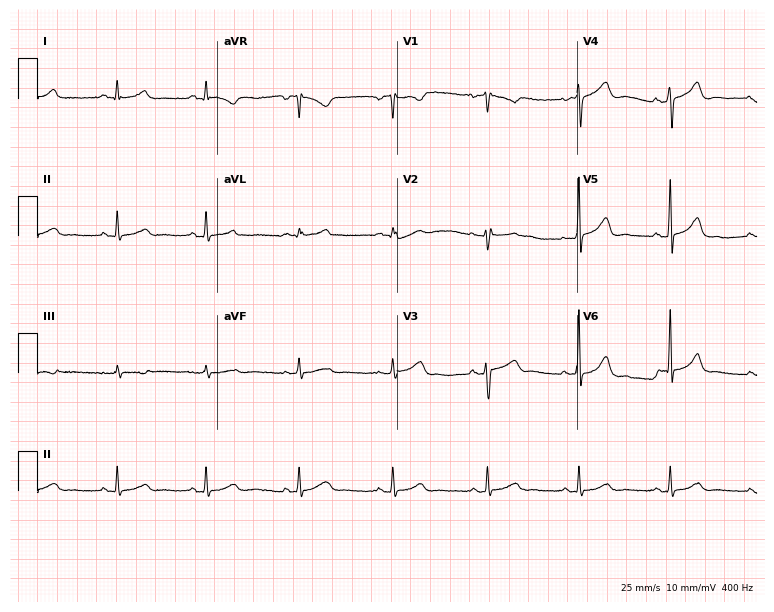
12-lead ECG from a female patient, 42 years old. Screened for six findings — first-degree AV block, right bundle branch block, left bundle branch block, sinus bradycardia, atrial fibrillation, sinus tachycardia — none is recorded.